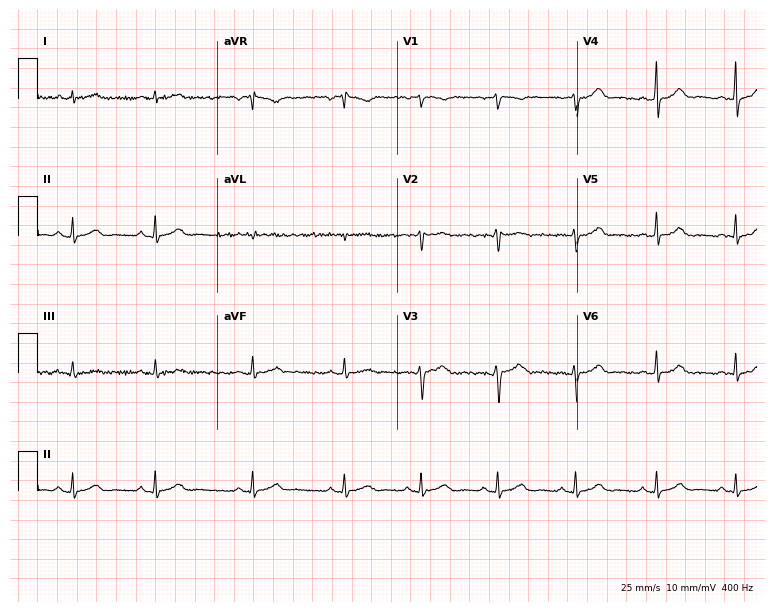
12-lead ECG (7.3-second recording at 400 Hz) from a 28-year-old female patient. Labelled as a normal ECG.